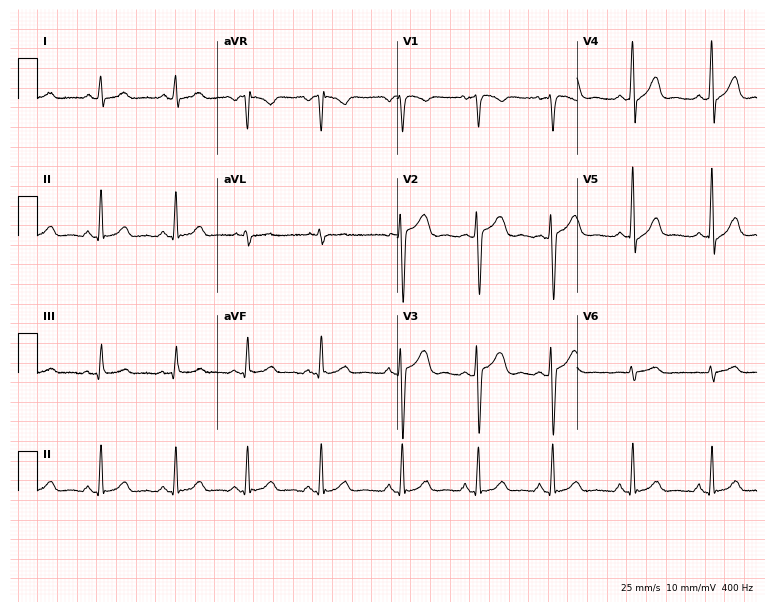
12-lead ECG from a 20-year-old female. No first-degree AV block, right bundle branch block, left bundle branch block, sinus bradycardia, atrial fibrillation or sinus tachycardia recorded for this tracing. Other findings, if any, are not listed.